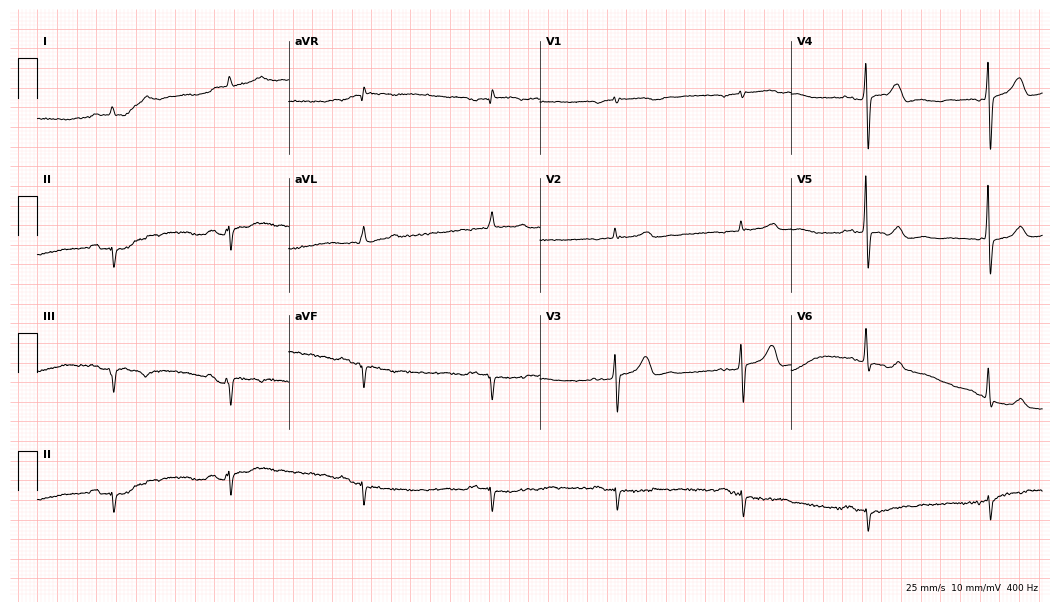
12-lead ECG from an 84-year-old male patient (10.2-second recording at 400 Hz). Shows sinus bradycardia (a sinus rate of 50 beats per minute or less).